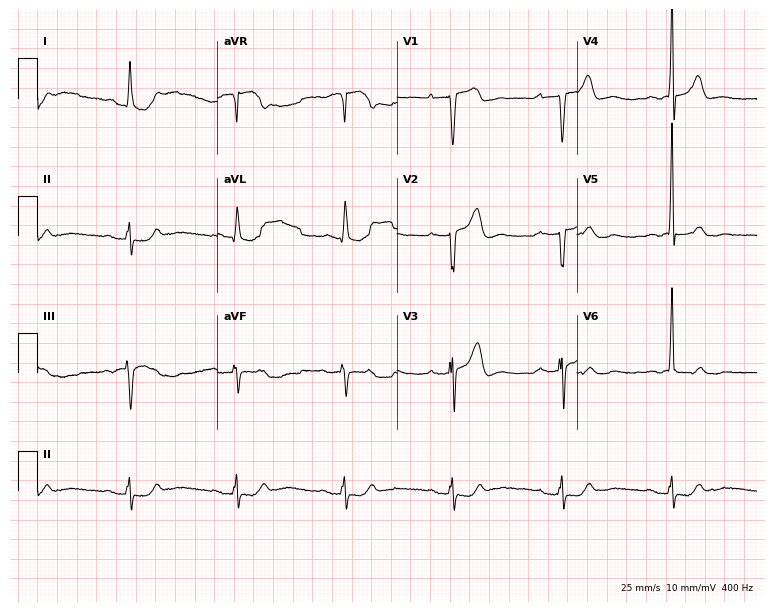
ECG — a 68-year-old male. Screened for six findings — first-degree AV block, right bundle branch block, left bundle branch block, sinus bradycardia, atrial fibrillation, sinus tachycardia — none is recorded.